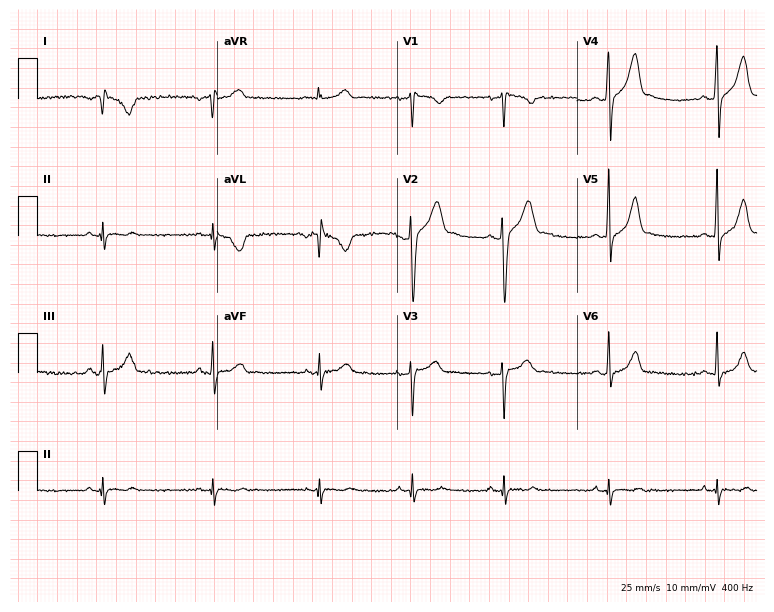
12-lead ECG (7.3-second recording at 400 Hz) from a man, 20 years old. Screened for six findings — first-degree AV block, right bundle branch block, left bundle branch block, sinus bradycardia, atrial fibrillation, sinus tachycardia — none is recorded.